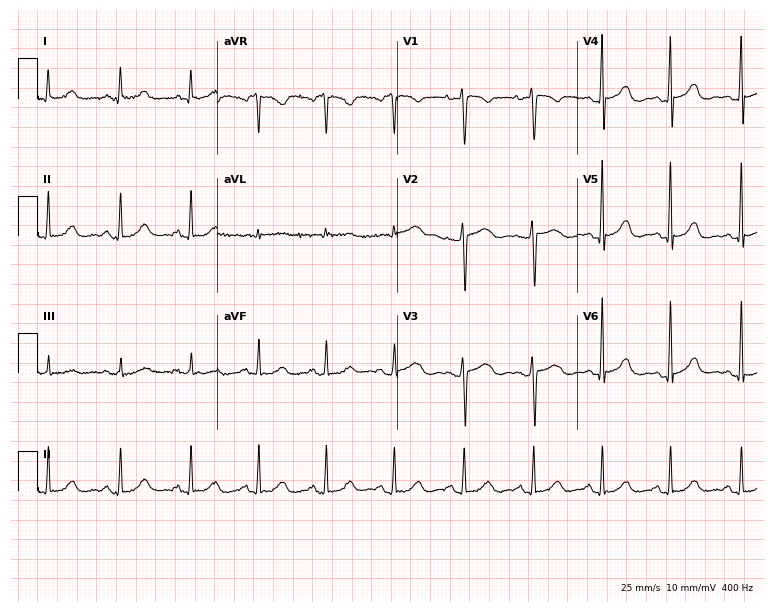
Resting 12-lead electrocardiogram (7.3-second recording at 400 Hz). Patient: a woman, 42 years old. Read as a normal ECG.